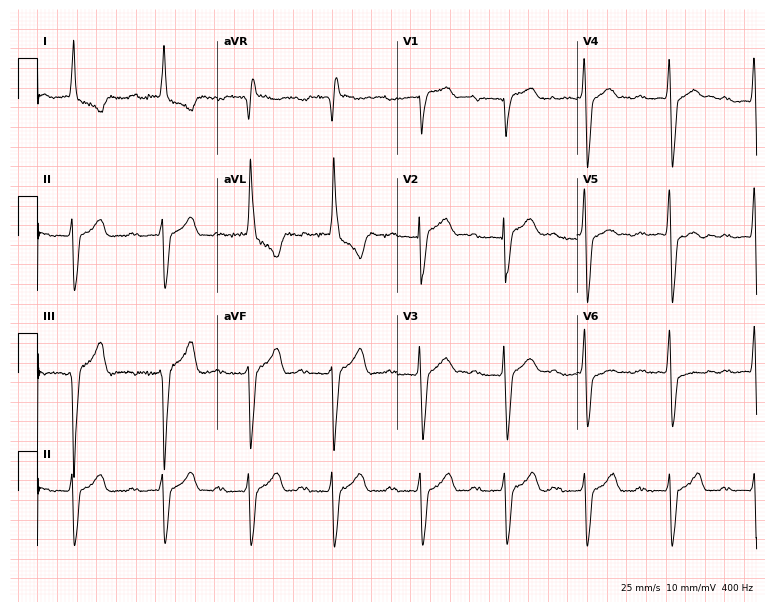
12-lead ECG from an 82-year-old male patient (7.3-second recording at 400 Hz). No first-degree AV block, right bundle branch block, left bundle branch block, sinus bradycardia, atrial fibrillation or sinus tachycardia recorded for this tracing.